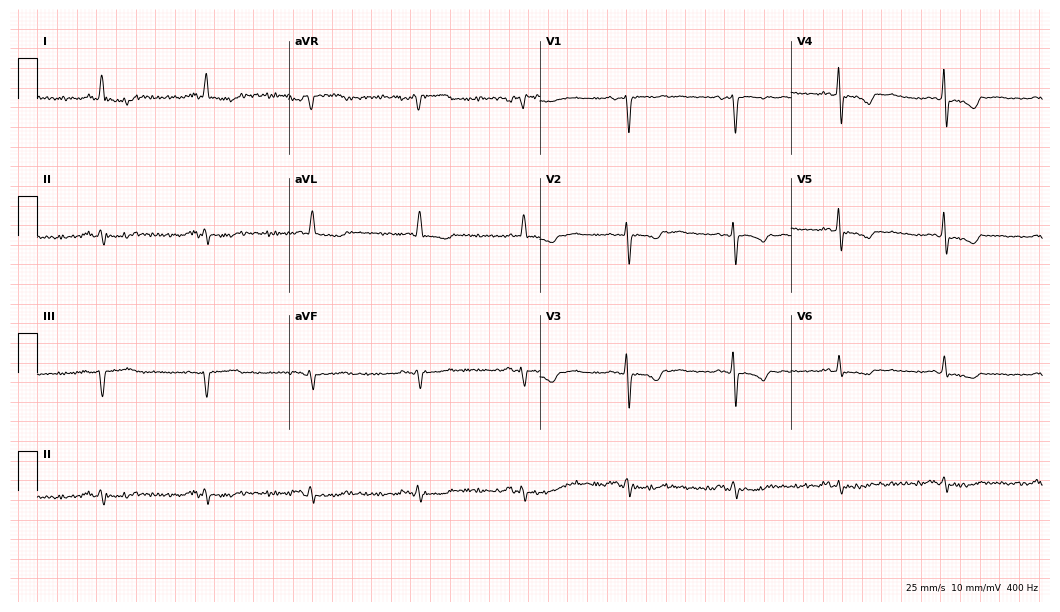
Resting 12-lead electrocardiogram (10.2-second recording at 400 Hz). Patient: an 84-year-old female. None of these six findings is recorded: first-degree AV block, right bundle branch block, left bundle branch block, sinus bradycardia, atrial fibrillation, sinus tachycardia. Other findings, if any, are not listed.